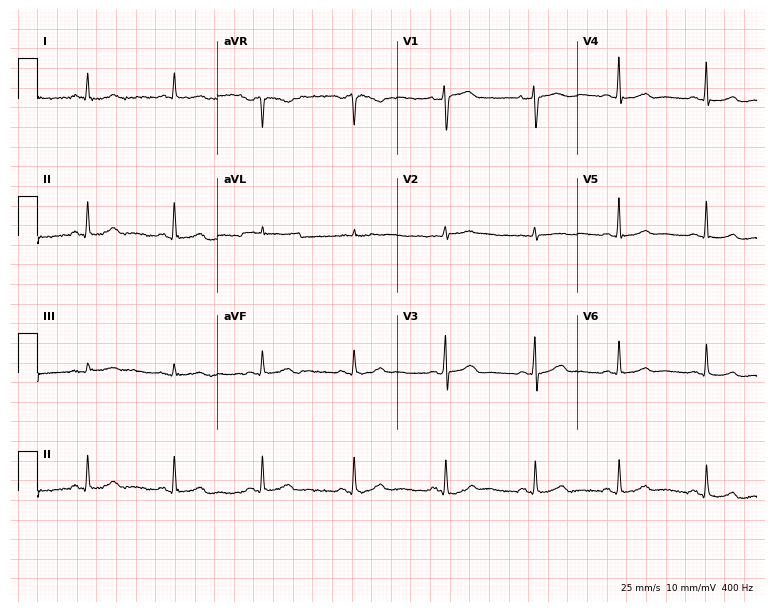
12-lead ECG from a female patient, 30 years old. No first-degree AV block, right bundle branch block (RBBB), left bundle branch block (LBBB), sinus bradycardia, atrial fibrillation (AF) or sinus tachycardia recorded for this tracing.